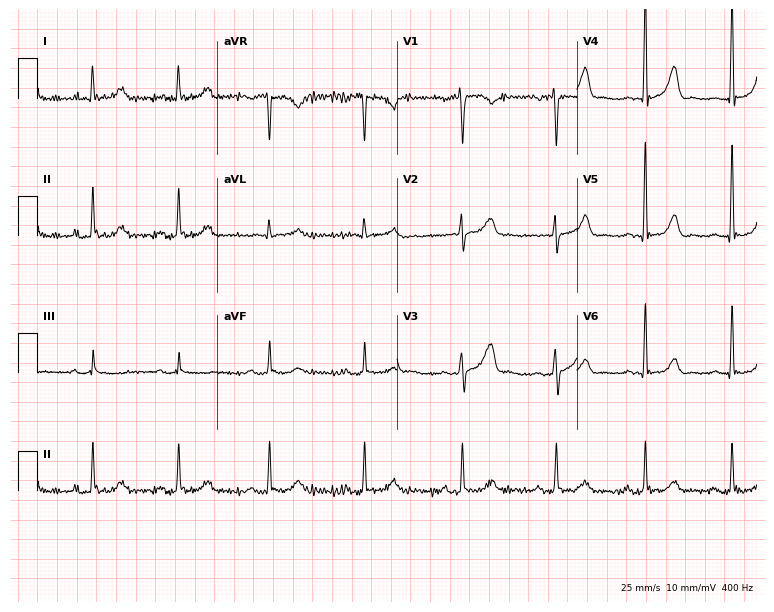
Resting 12-lead electrocardiogram. Patient: a 46-year-old man. Read as a normal ECG.